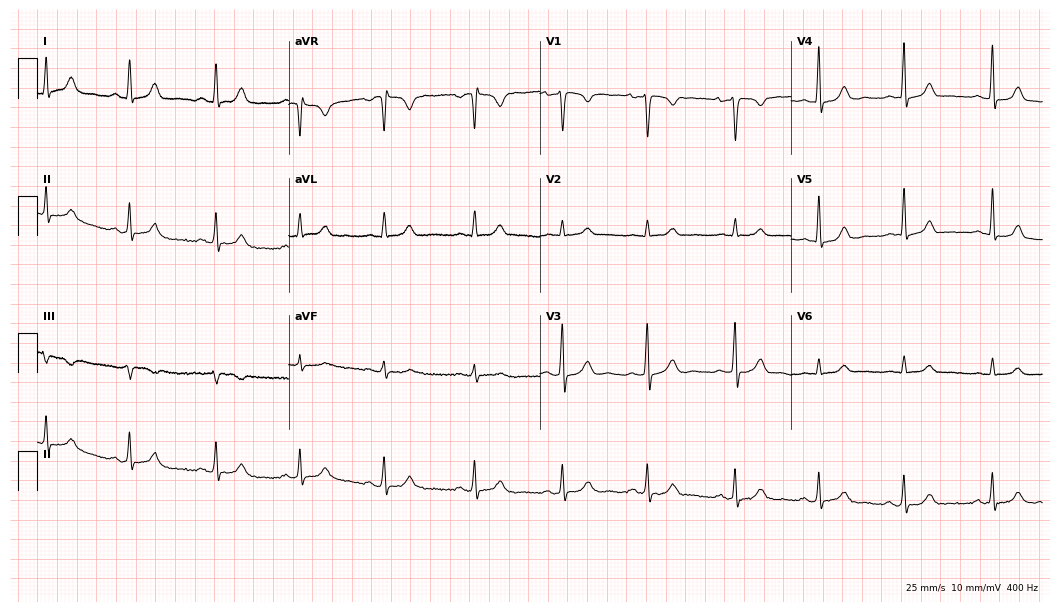
ECG — a 36-year-old female patient. Labelled as a normal ECG.